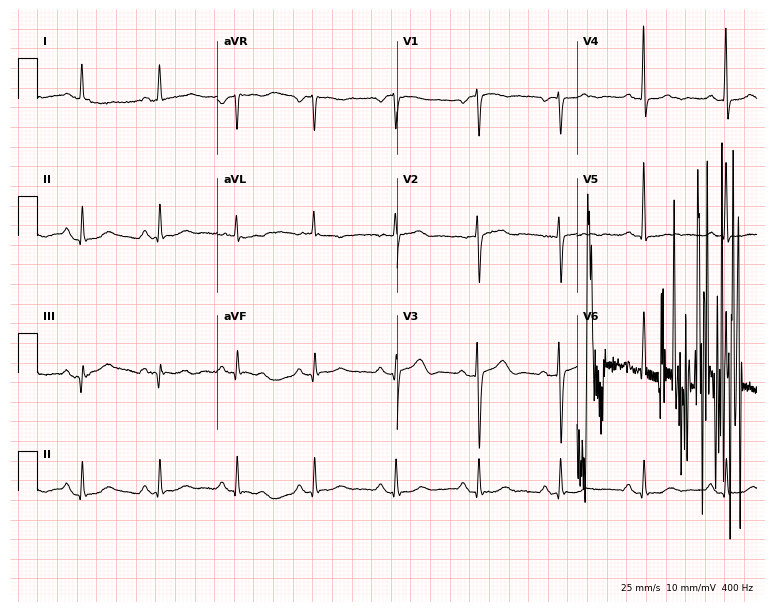
Resting 12-lead electrocardiogram. Patient: a female, 75 years old. None of these six findings is recorded: first-degree AV block, right bundle branch block, left bundle branch block, sinus bradycardia, atrial fibrillation, sinus tachycardia.